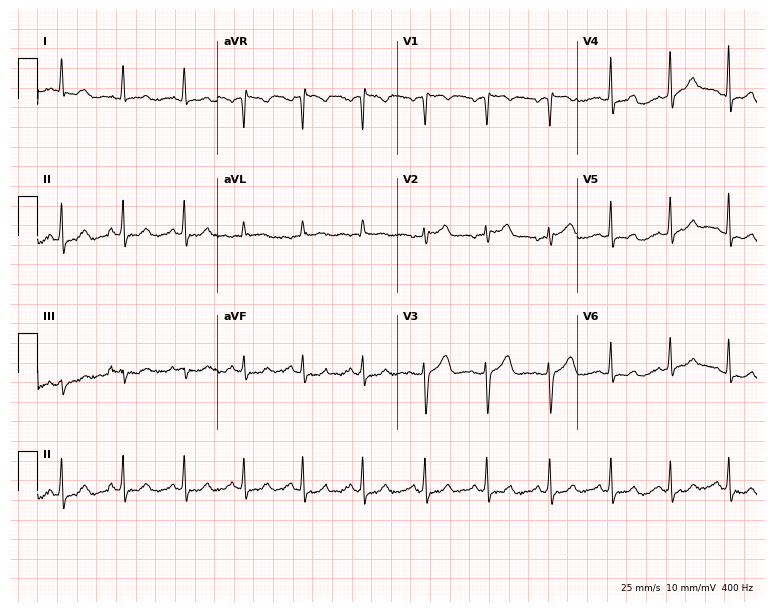
ECG — a 54-year-old female. Screened for six findings — first-degree AV block, right bundle branch block, left bundle branch block, sinus bradycardia, atrial fibrillation, sinus tachycardia — none is recorded.